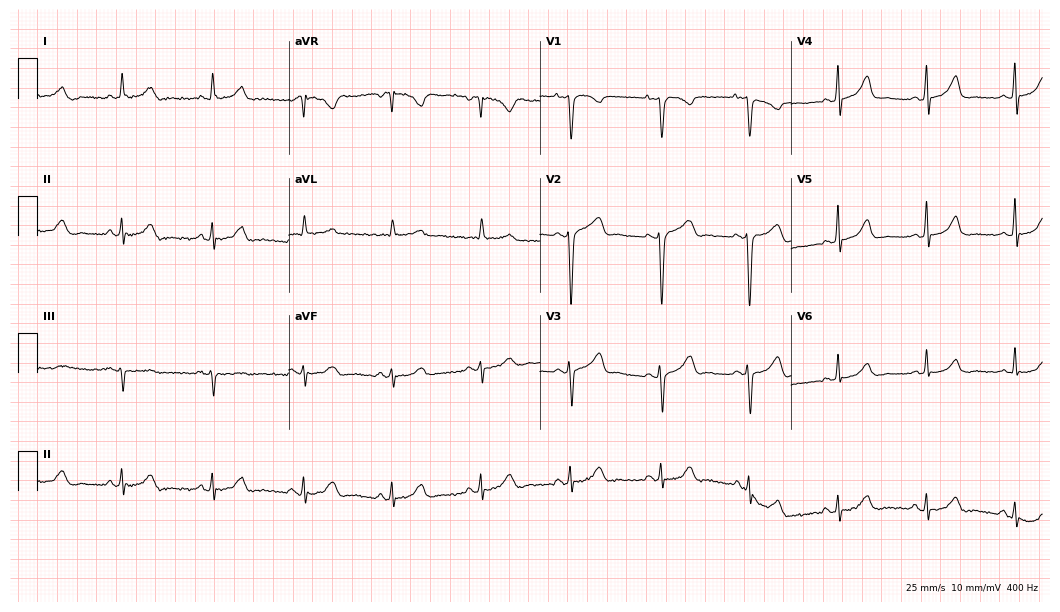
ECG — a 53-year-old female. Labelled as a normal ECG.